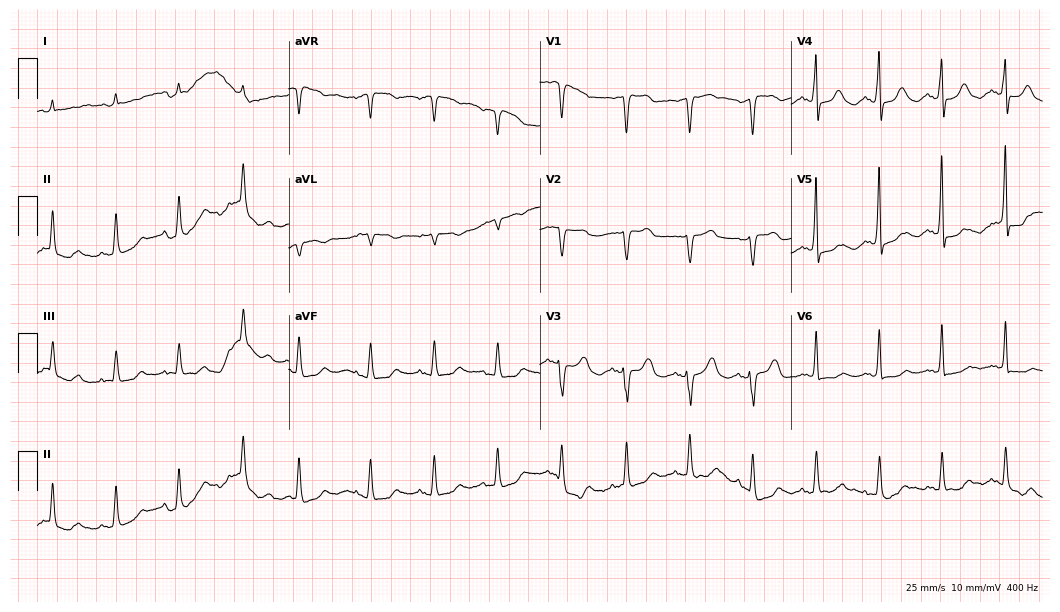
Electrocardiogram (10.2-second recording at 400 Hz), a woman, 79 years old. Of the six screened findings (first-degree AV block, right bundle branch block, left bundle branch block, sinus bradycardia, atrial fibrillation, sinus tachycardia), none is recorded. Only these six findings were labelled.